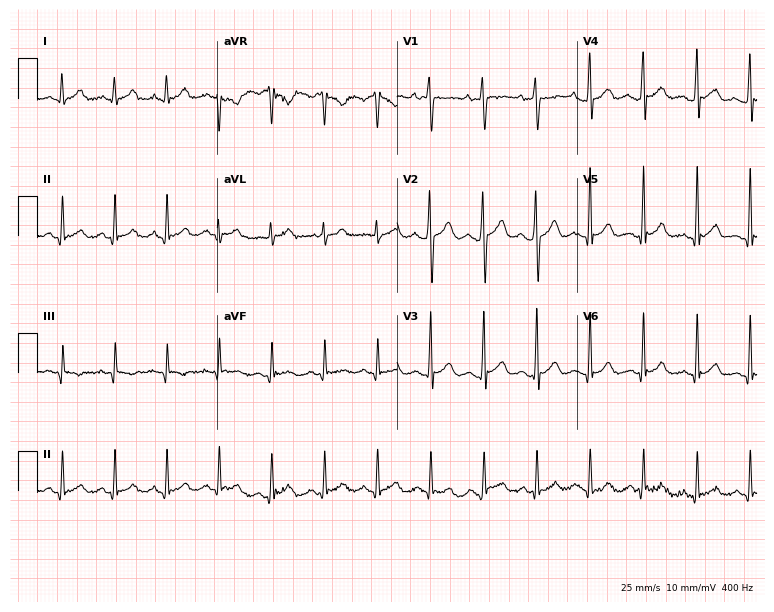
Standard 12-lead ECG recorded from a 17-year-old male. The tracing shows sinus tachycardia (a sinus rate of 100 beats per minute or more).